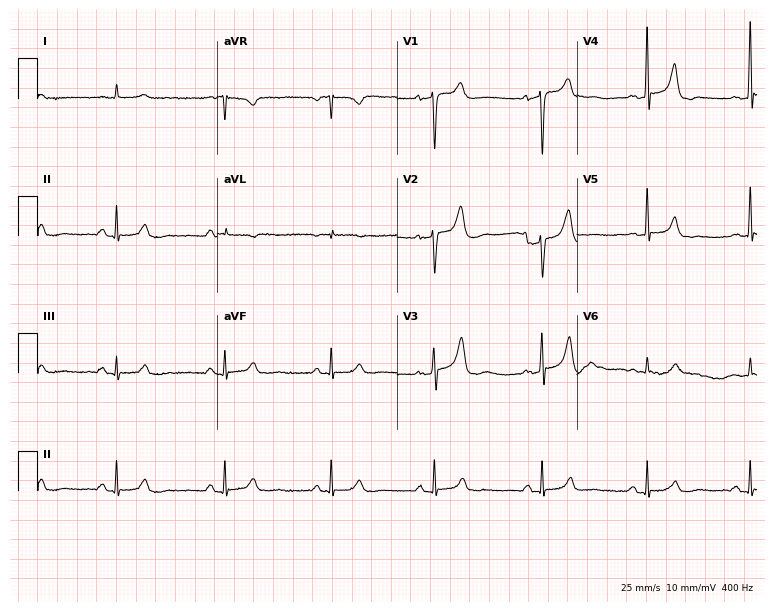
Electrocardiogram, a 58-year-old male patient. Of the six screened findings (first-degree AV block, right bundle branch block, left bundle branch block, sinus bradycardia, atrial fibrillation, sinus tachycardia), none is recorded. Only these six findings were labelled.